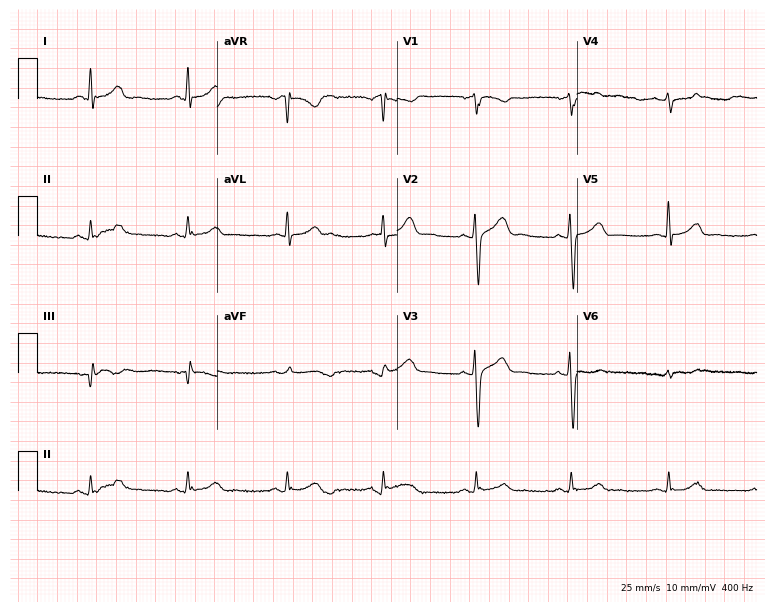
12-lead ECG from a male patient, 40 years old. Labelled as a normal ECG.